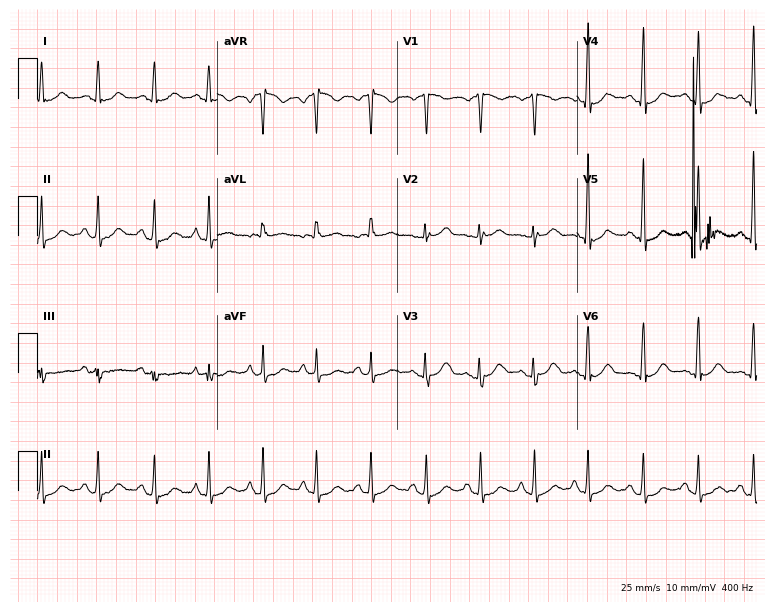
ECG (7.3-second recording at 400 Hz) — a female, 46 years old. Findings include sinus tachycardia (a sinus rate of 100 beats per minute or more).